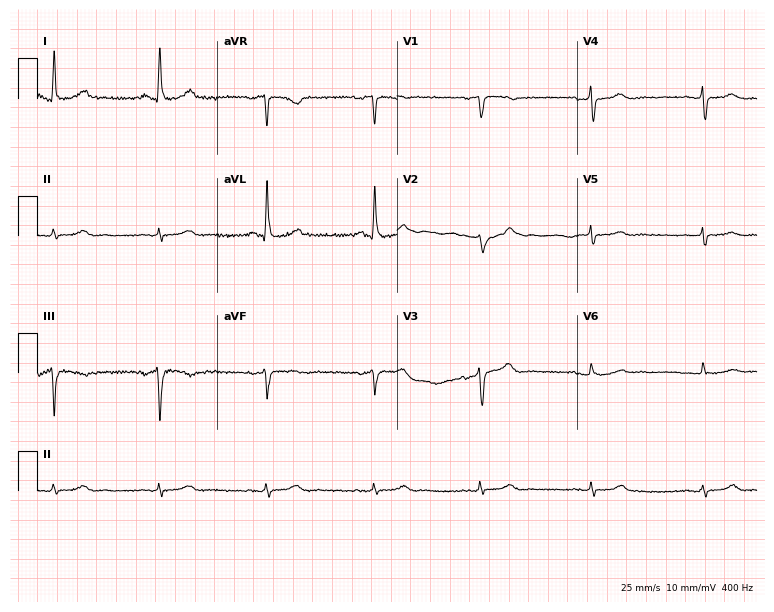
12-lead ECG from a 62-year-old male patient. Screened for six findings — first-degree AV block, right bundle branch block, left bundle branch block, sinus bradycardia, atrial fibrillation, sinus tachycardia — none is recorded. Other findings, if any, are not listed.